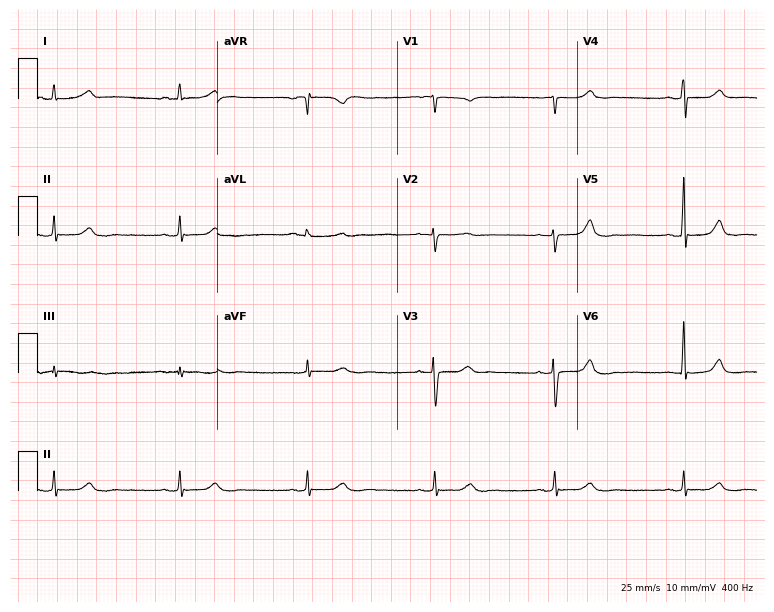
Electrocardiogram (7.3-second recording at 400 Hz), a woman, 48 years old. Interpretation includes sinus bradycardia (a sinus rate of 50 beats per minute or less).